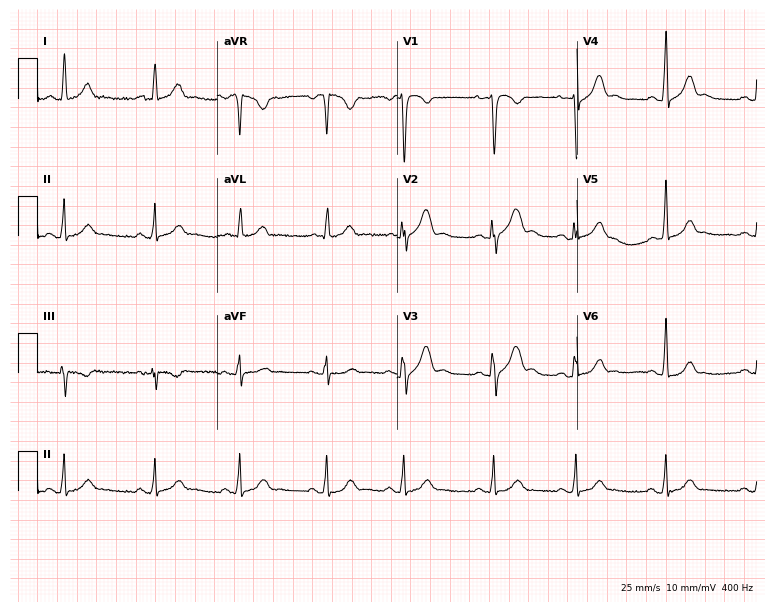
ECG (7.3-second recording at 400 Hz) — a female patient, 36 years old. Screened for six findings — first-degree AV block, right bundle branch block, left bundle branch block, sinus bradycardia, atrial fibrillation, sinus tachycardia — none is recorded.